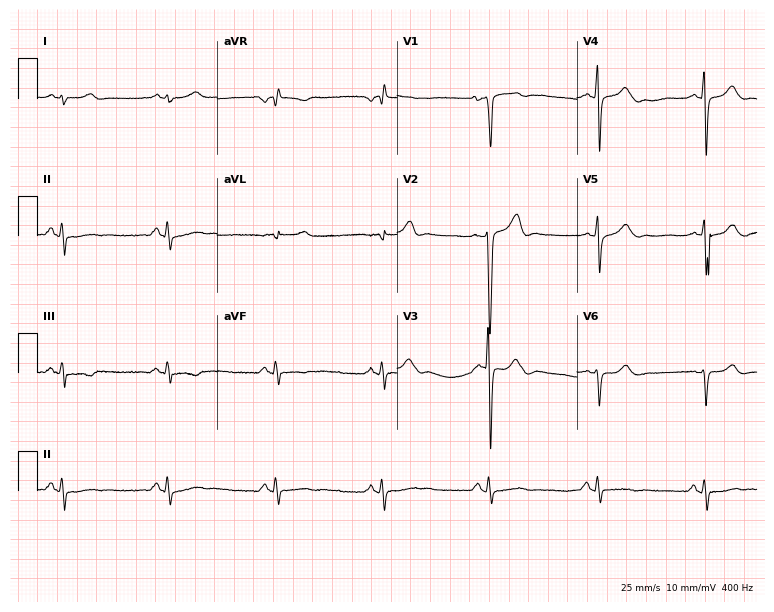
Standard 12-lead ECG recorded from a 54-year-old man (7.3-second recording at 400 Hz). None of these six findings is recorded: first-degree AV block, right bundle branch block (RBBB), left bundle branch block (LBBB), sinus bradycardia, atrial fibrillation (AF), sinus tachycardia. Other findings, if any, are not listed.